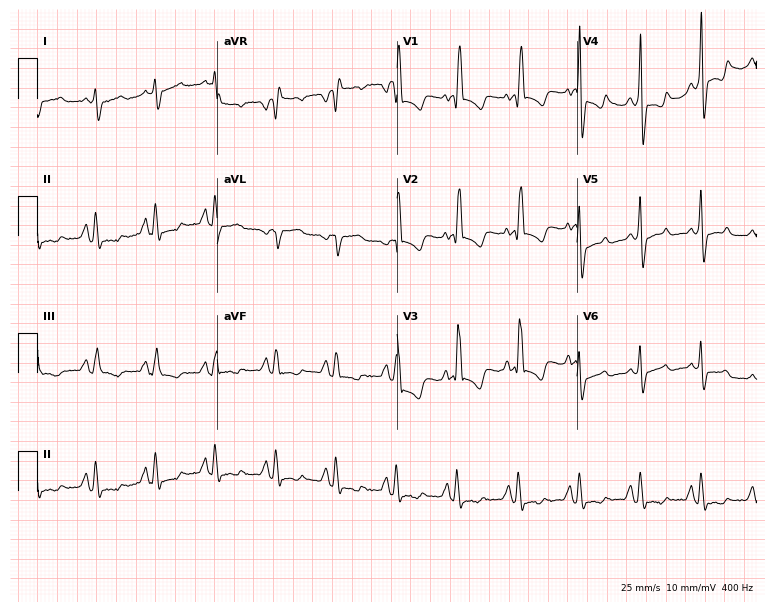
12-lead ECG from a male, 54 years old. Screened for six findings — first-degree AV block, right bundle branch block, left bundle branch block, sinus bradycardia, atrial fibrillation, sinus tachycardia — none is recorded.